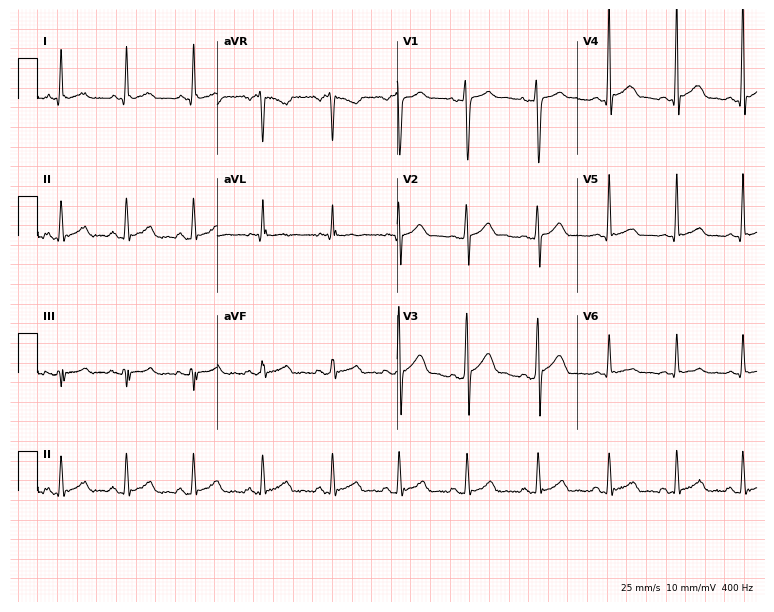
Standard 12-lead ECG recorded from a man, 32 years old. Read as a normal ECG.